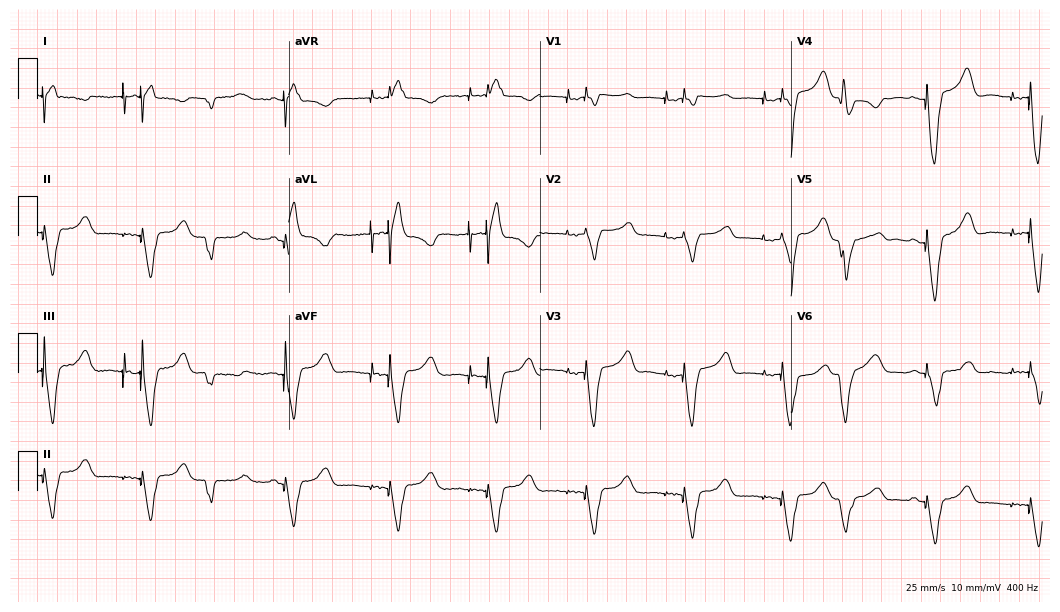
Electrocardiogram (10.2-second recording at 400 Hz), a 59-year-old male. Of the six screened findings (first-degree AV block, right bundle branch block (RBBB), left bundle branch block (LBBB), sinus bradycardia, atrial fibrillation (AF), sinus tachycardia), none is recorded. Only these six findings were labelled.